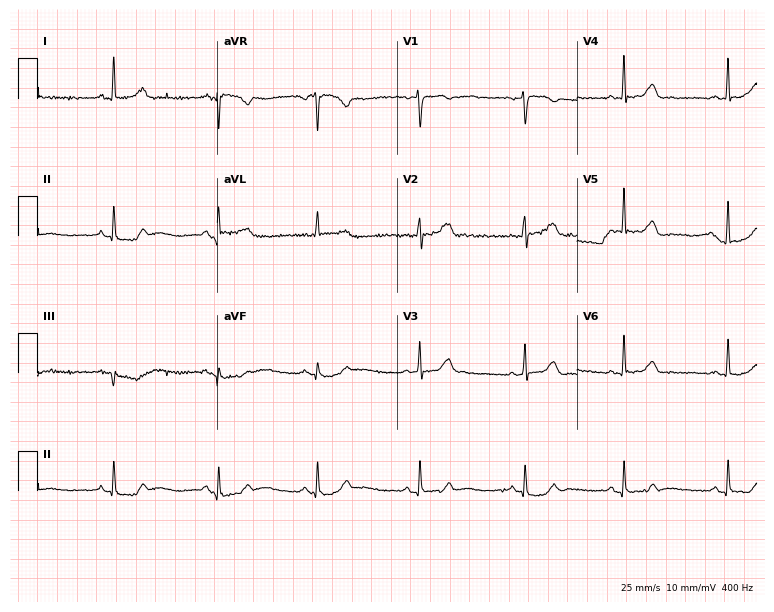
12-lead ECG from a 41-year-old female patient (7.3-second recording at 400 Hz). Recorded interpretation: within normal limits.